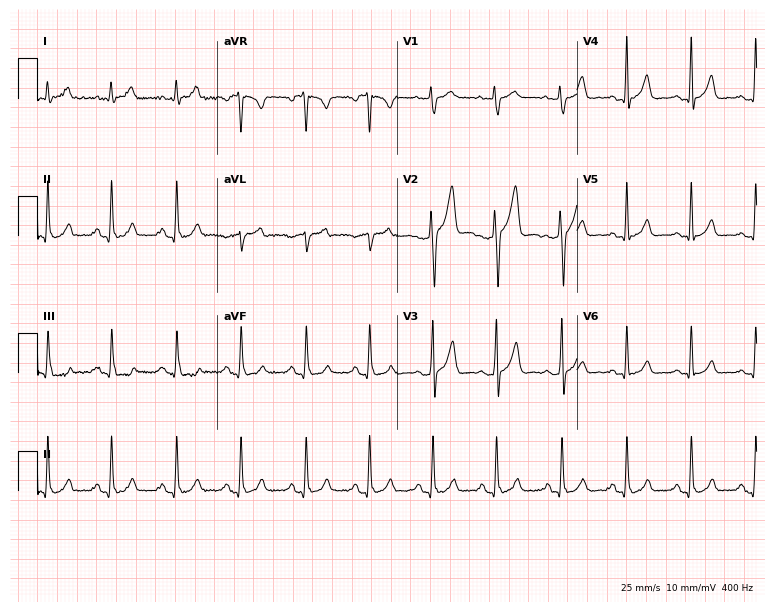
Standard 12-lead ECG recorded from a 34-year-old male patient. Read as a normal ECG.